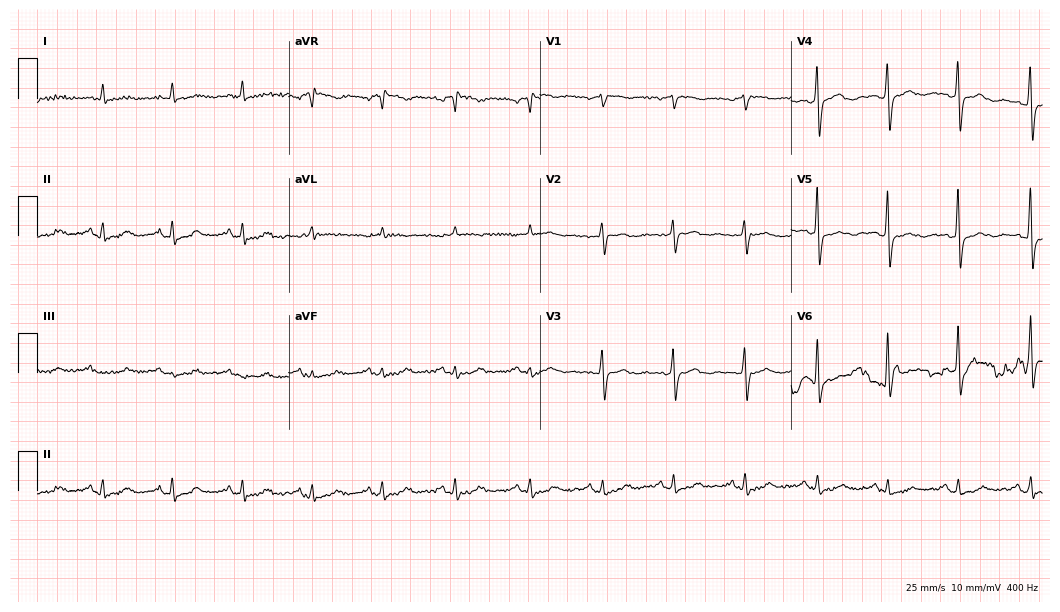
Standard 12-lead ECG recorded from a female patient, 66 years old. None of these six findings is recorded: first-degree AV block, right bundle branch block, left bundle branch block, sinus bradycardia, atrial fibrillation, sinus tachycardia. Only these six findings were labelled.